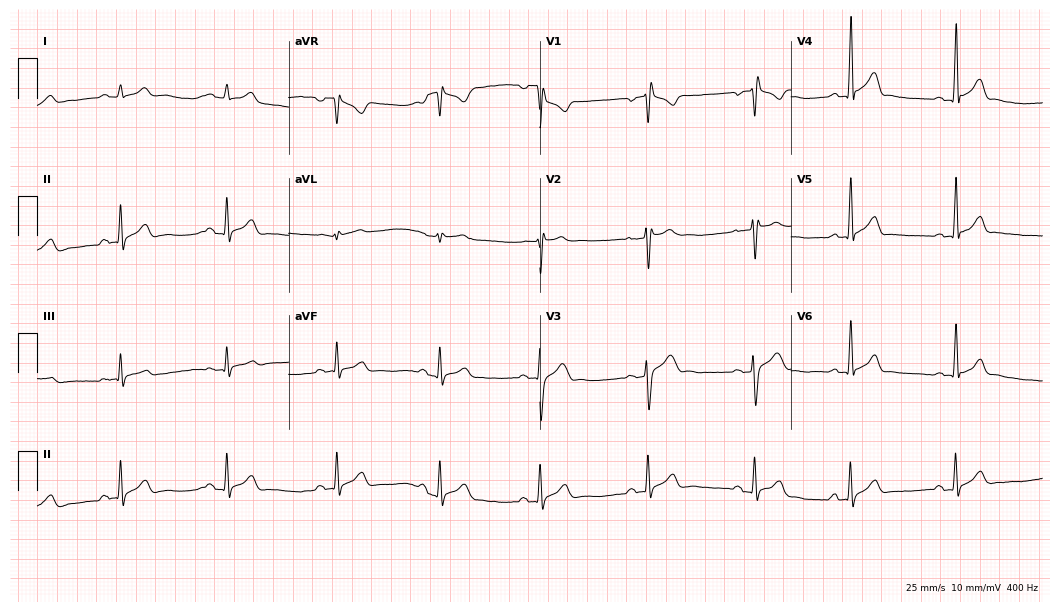
Standard 12-lead ECG recorded from a male patient, 20 years old. Read as a normal ECG.